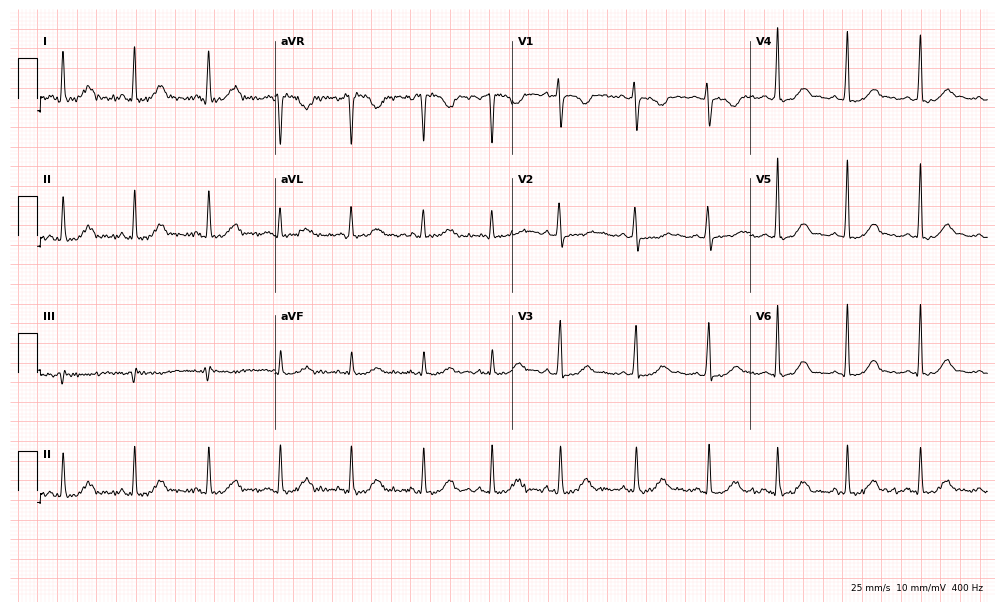
Electrocardiogram (9.7-second recording at 400 Hz), a 28-year-old female patient. Overall reading on record: normal ECG.